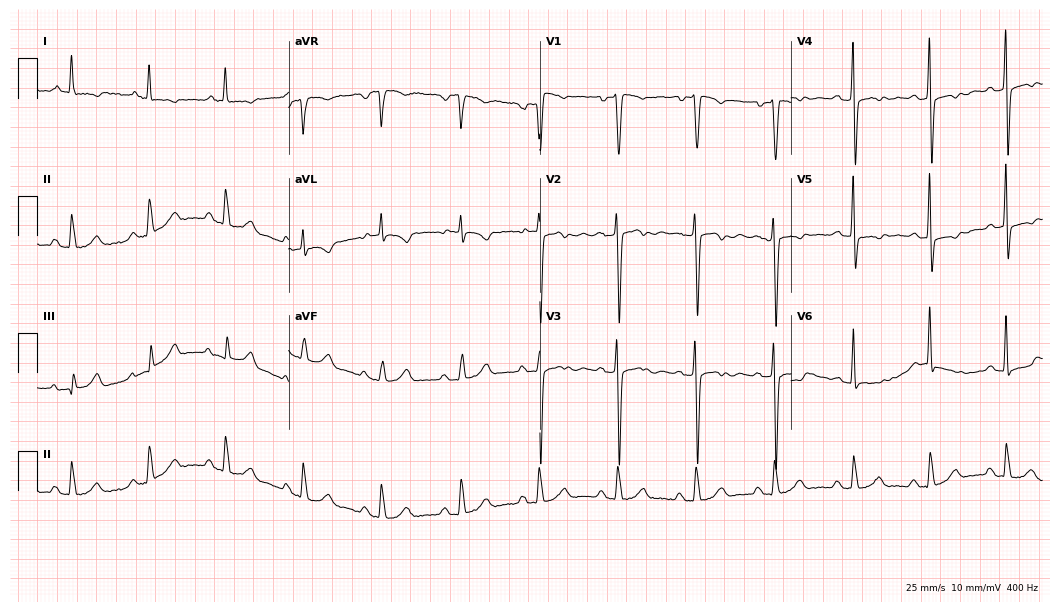
Electrocardiogram (10.2-second recording at 400 Hz), a male, 58 years old. Of the six screened findings (first-degree AV block, right bundle branch block, left bundle branch block, sinus bradycardia, atrial fibrillation, sinus tachycardia), none is recorded. Only these six findings were labelled.